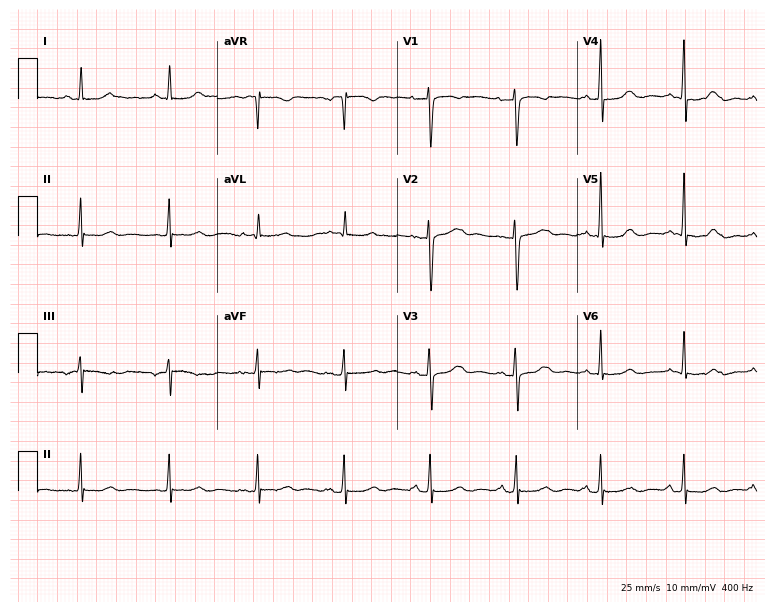
12-lead ECG from a female patient, 67 years old. No first-degree AV block, right bundle branch block, left bundle branch block, sinus bradycardia, atrial fibrillation or sinus tachycardia recorded for this tracing. Only these six findings were labelled.